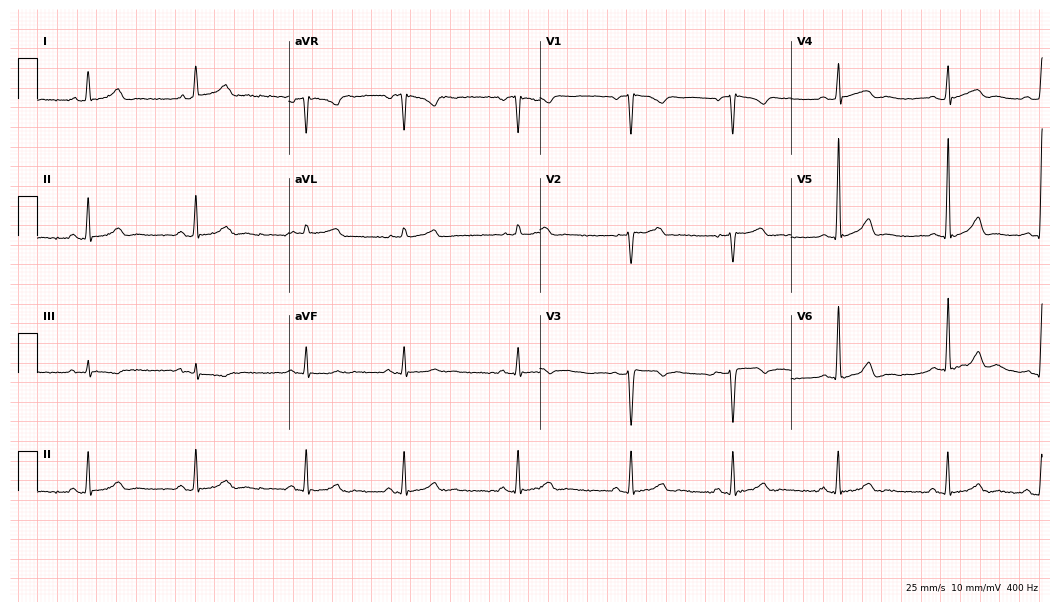
Standard 12-lead ECG recorded from a 28-year-old woman. None of these six findings is recorded: first-degree AV block, right bundle branch block, left bundle branch block, sinus bradycardia, atrial fibrillation, sinus tachycardia. Other findings, if any, are not listed.